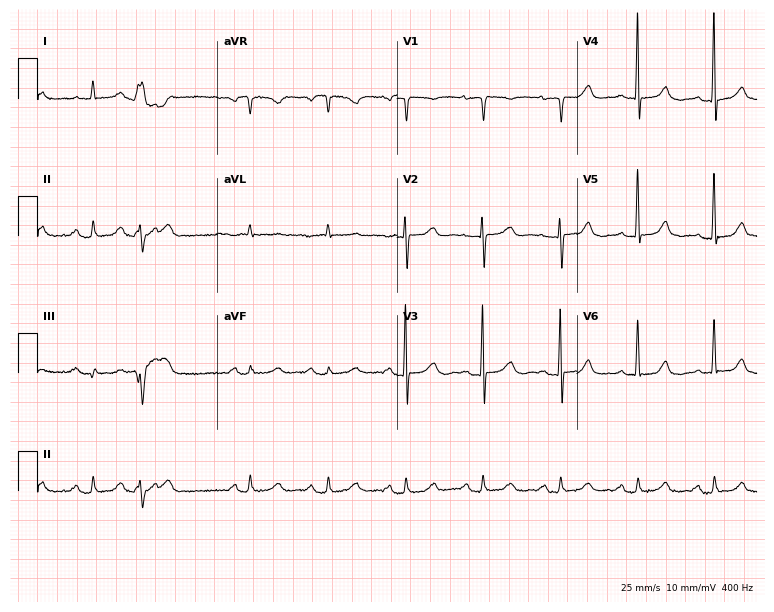
Electrocardiogram, a 76-year-old female. Of the six screened findings (first-degree AV block, right bundle branch block, left bundle branch block, sinus bradycardia, atrial fibrillation, sinus tachycardia), none is recorded. Only these six findings were labelled.